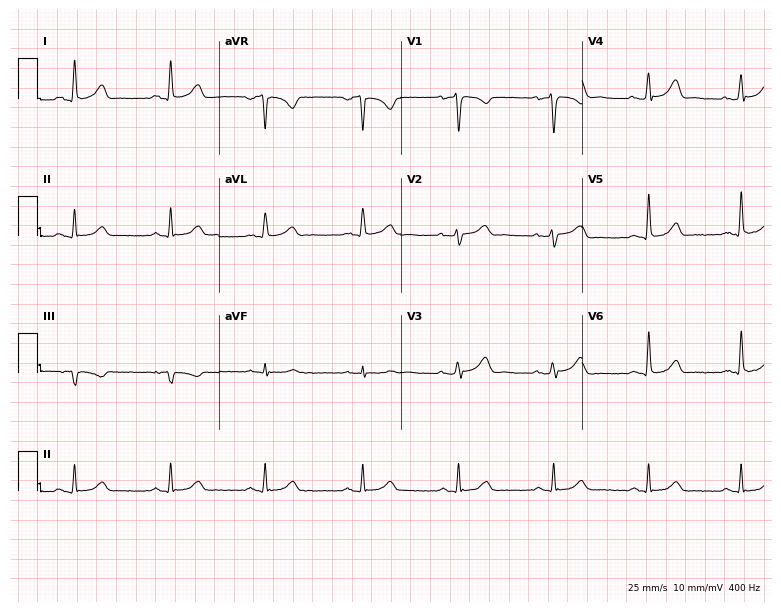
Resting 12-lead electrocardiogram (7.4-second recording at 400 Hz). Patient: a 47-year-old female. Read as a normal ECG.